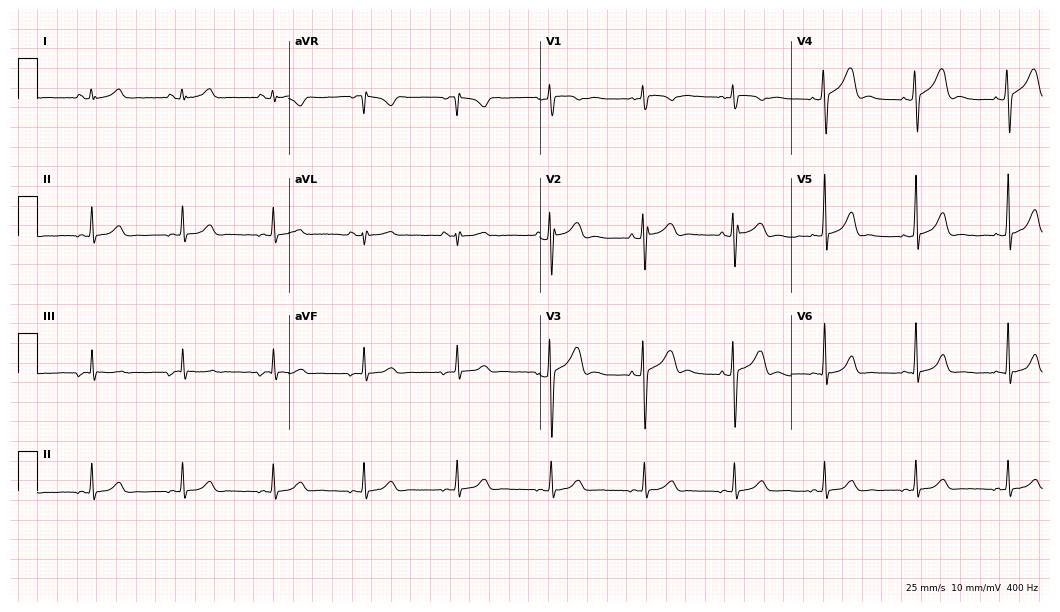
Standard 12-lead ECG recorded from a 27-year-old woman. Read as a normal ECG.